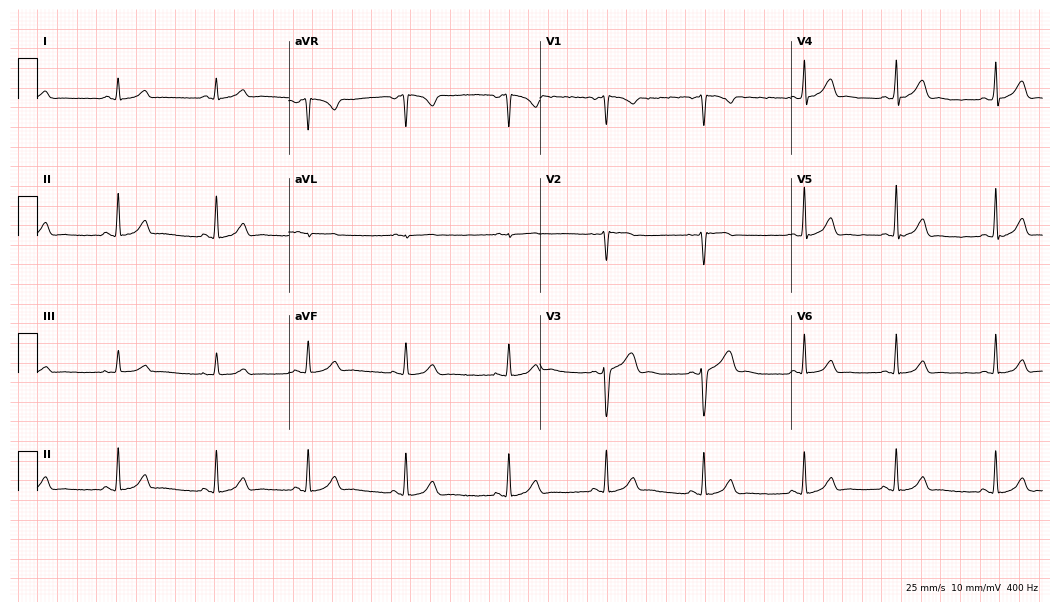
Standard 12-lead ECG recorded from a female patient, 29 years old (10.2-second recording at 400 Hz). None of these six findings is recorded: first-degree AV block, right bundle branch block (RBBB), left bundle branch block (LBBB), sinus bradycardia, atrial fibrillation (AF), sinus tachycardia. Only these six findings were labelled.